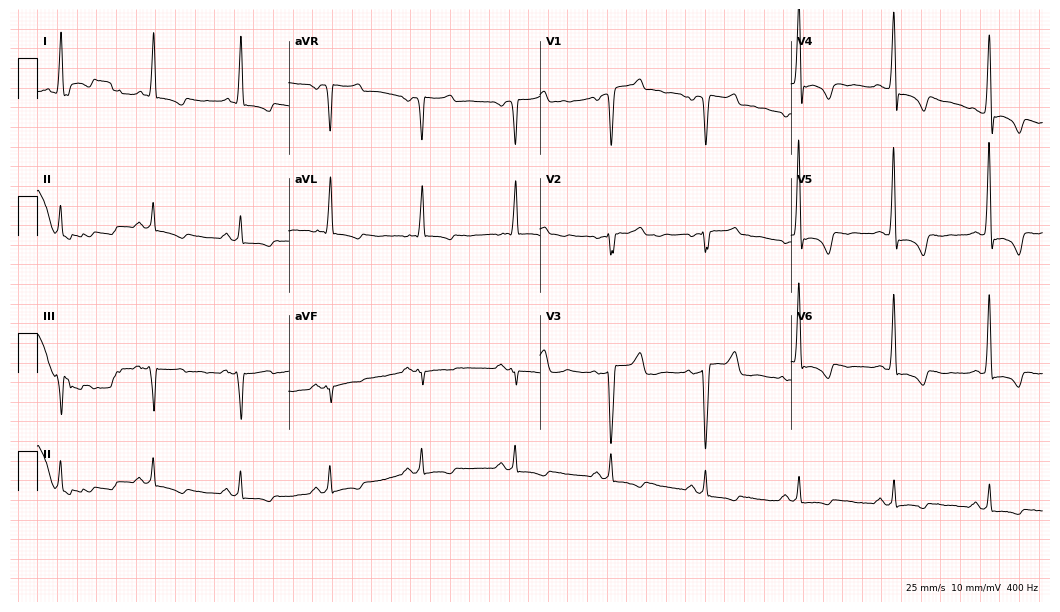
Electrocardiogram (10.2-second recording at 400 Hz), a 55-year-old male. Of the six screened findings (first-degree AV block, right bundle branch block (RBBB), left bundle branch block (LBBB), sinus bradycardia, atrial fibrillation (AF), sinus tachycardia), none is recorded. Findings outside these six are not listed.